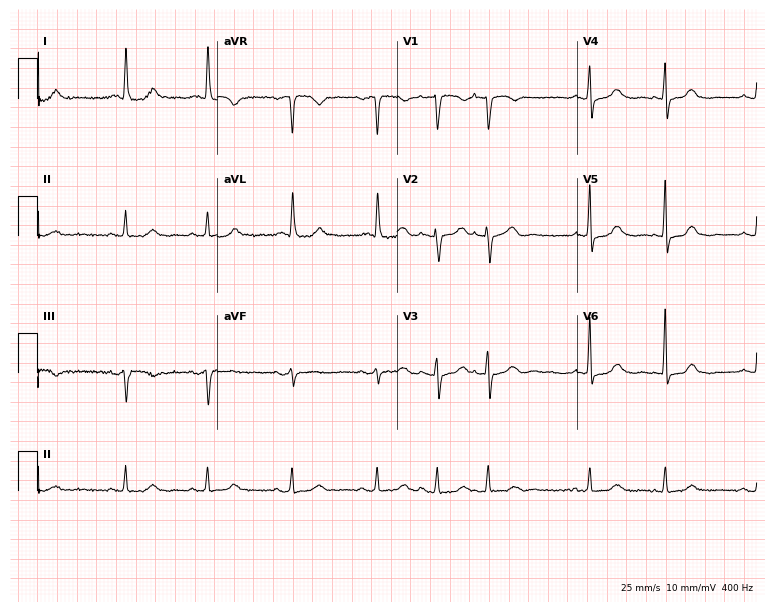
Electrocardiogram, an 84-year-old woman. Of the six screened findings (first-degree AV block, right bundle branch block, left bundle branch block, sinus bradycardia, atrial fibrillation, sinus tachycardia), none is recorded.